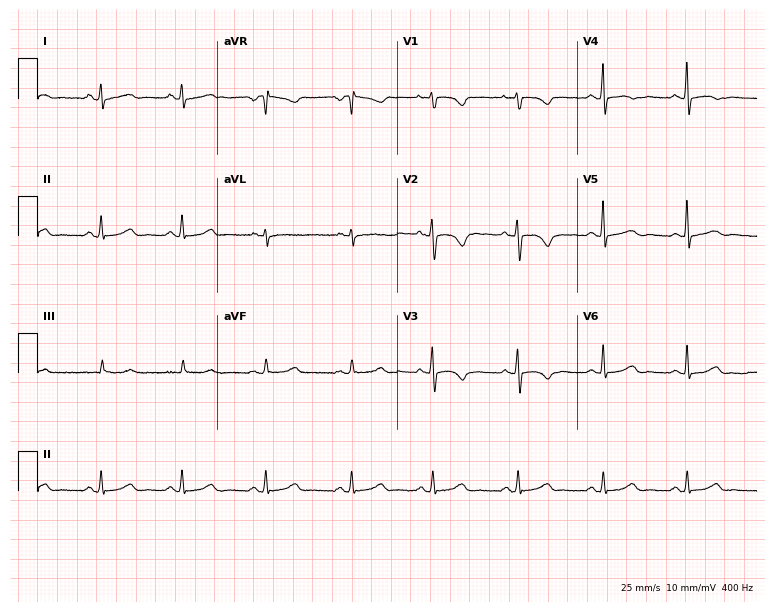
Standard 12-lead ECG recorded from a 30-year-old female. None of these six findings is recorded: first-degree AV block, right bundle branch block, left bundle branch block, sinus bradycardia, atrial fibrillation, sinus tachycardia.